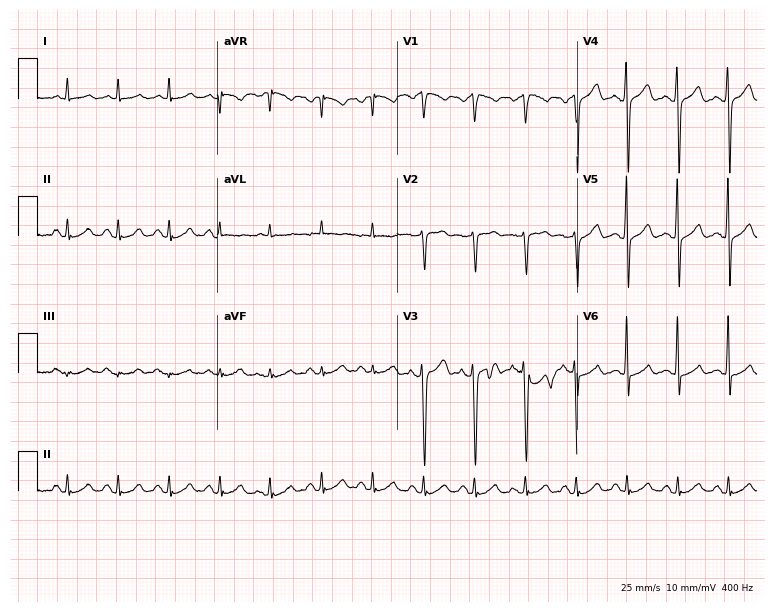
Electrocardiogram (7.3-second recording at 400 Hz), a man, 53 years old. Of the six screened findings (first-degree AV block, right bundle branch block (RBBB), left bundle branch block (LBBB), sinus bradycardia, atrial fibrillation (AF), sinus tachycardia), none is recorded.